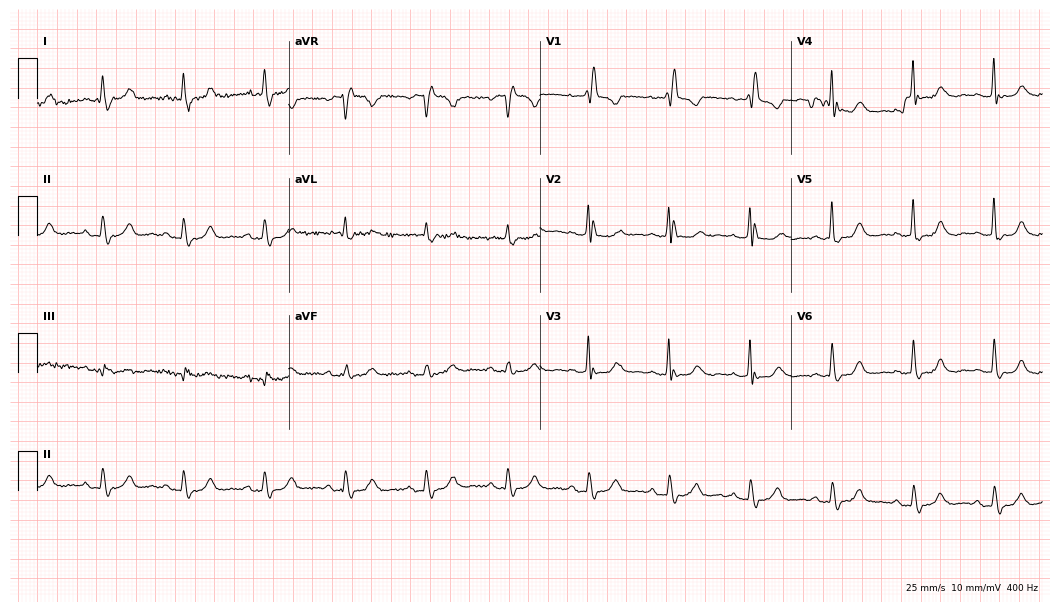
Electrocardiogram (10.2-second recording at 400 Hz), a 74-year-old female patient. Interpretation includes right bundle branch block (RBBB).